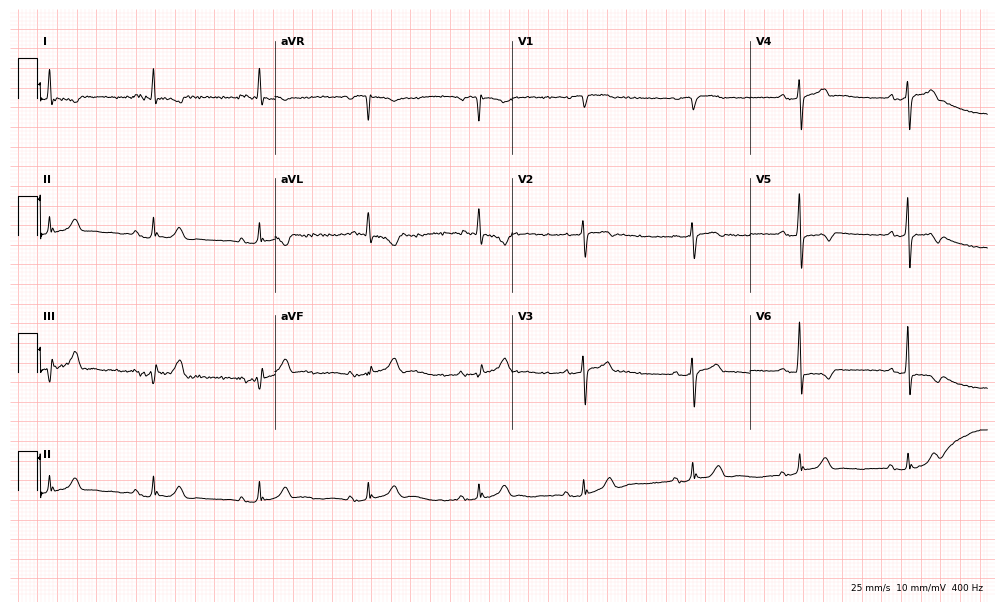
12-lead ECG (9.7-second recording at 400 Hz) from a man, 82 years old. Screened for six findings — first-degree AV block, right bundle branch block (RBBB), left bundle branch block (LBBB), sinus bradycardia, atrial fibrillation (AF), sinus tachycardia — none is recorded. Findings outside these six are not listed.